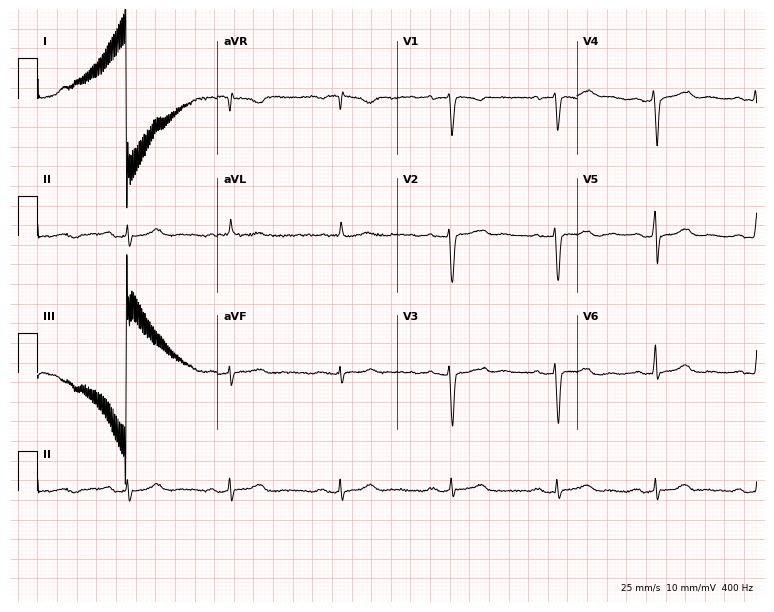
Standard 12-lead ECG recorded from a 59-year-old woman (7.3-second recording at 400 Hz). The tracing shows first-degree AV block.